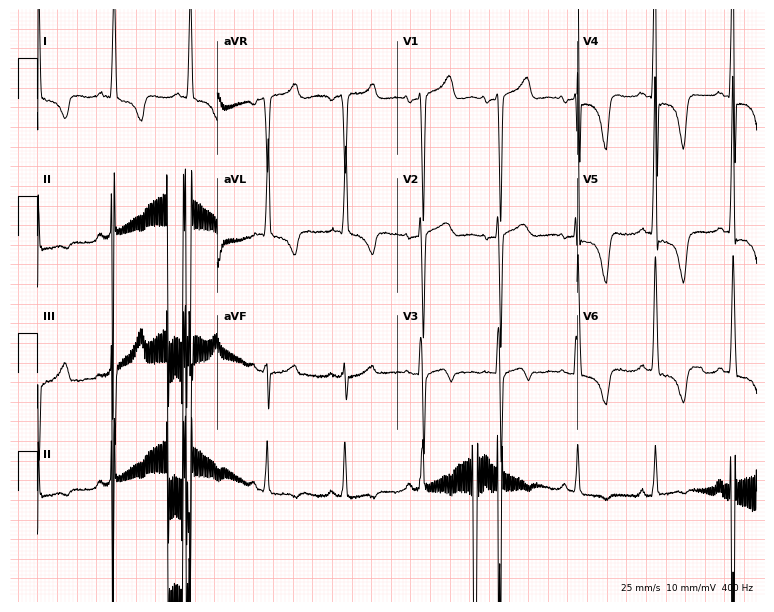
Electrocardiogram, a woman, 76 years old. Of the six screened findings (first-degree AV block, right bundle branch block, left bundle branch block, sinus bradycardia, atrial fibrillation, sinus tachycardia), none is recorded. Other findings, if any, are not listed.